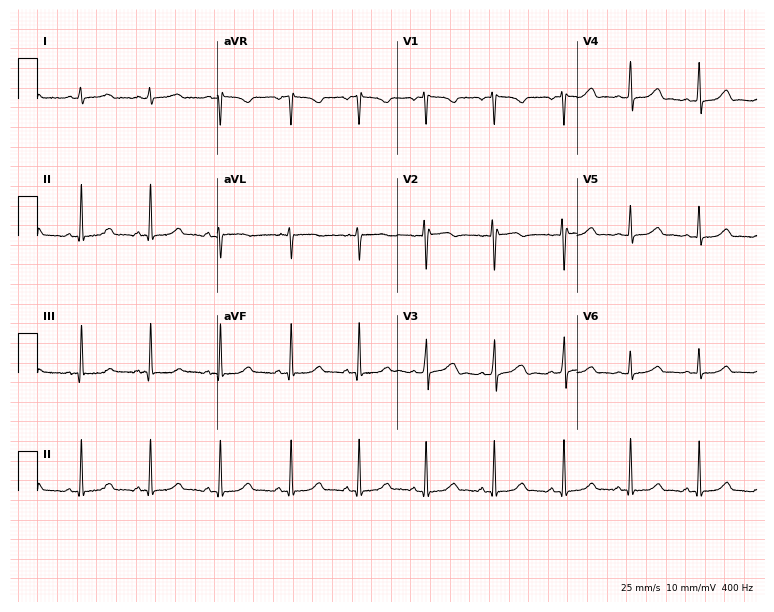
12-lead ECG (7.3-second recording at 400 Hz) from a woman, 29 years old. Labelled as a normal ECG.